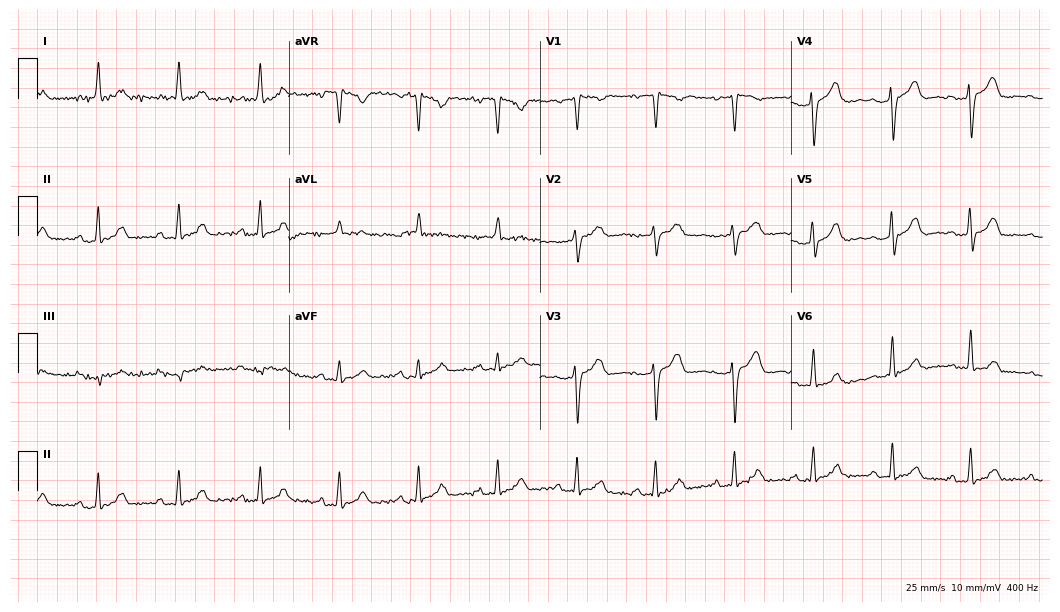
Resting 12-lead electrocardiogram (10.2-second recording at 400 Hz). Patient: a 46-year-old woman. None of these six findings is recorded: first-degree AV block, right bundle branch block (RBBB), left bundle branch block (LBBB), sinus bradycardia, atrial fibrillation (AF), sinus tachycardia.